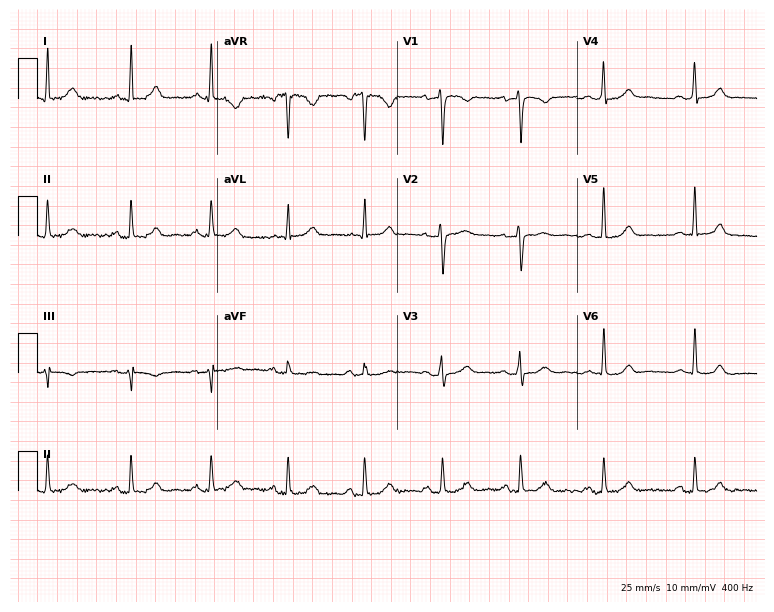
12-lead ECG from a woman, 37 years old (7.3-second recording at 400 Hz). Recorded interpretation: within normal limits.